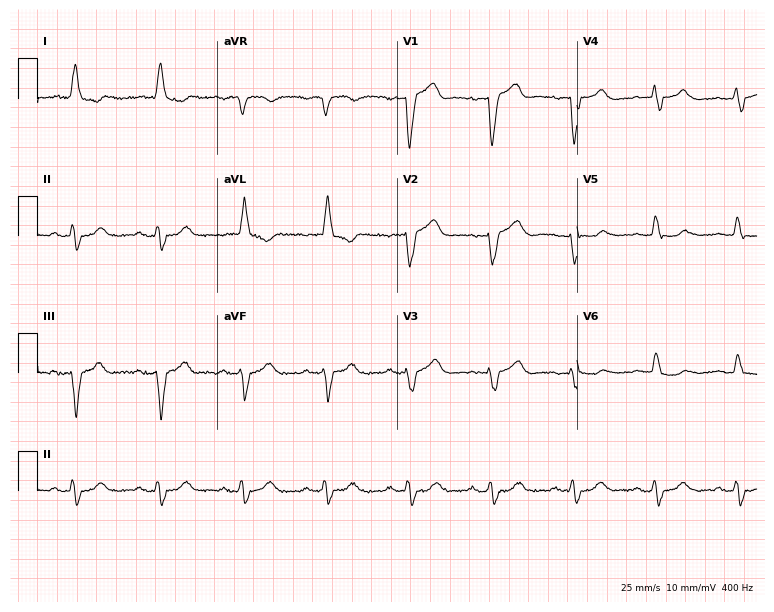
12-lead ECG from a female patient, 78 years old. Shows left bundle branch block.